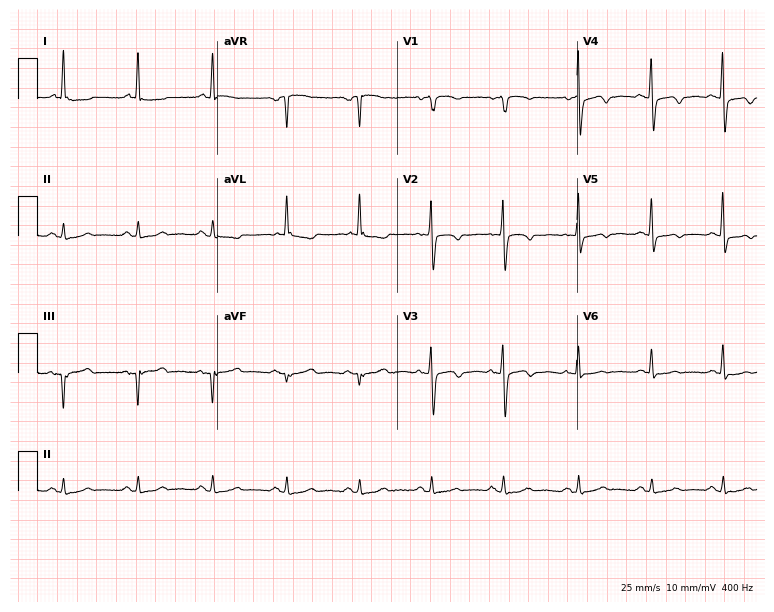
Resting 12-lead electrocardiogram (7.3-second recording at 400 Hz). Patient: a female, 85 years old. None of these six findings is recorded: first-degree AV block, right bundle branch block, left bundle branch block, sinus bradycardia, atrial fibrillation, sinus tachycardia.